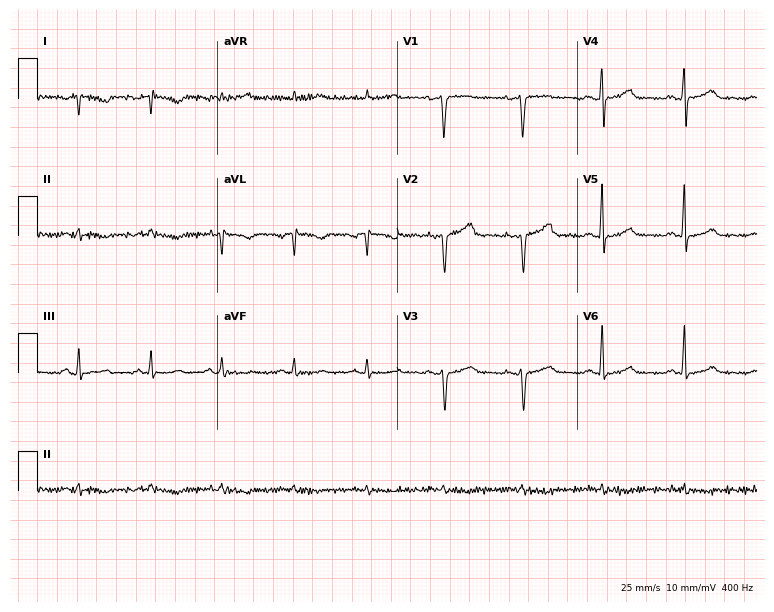
Resting 12-lead electrocardiogram. Patient: a 50-year-old woman. None of these six findings is recorded: first-degree AV block, right bundle branch block (RBBB), left bundle branch block (LBBB), sinus bradycardia, atrial fibrillation (AF), sinus tachycardia. Other findings, if any, are not listed.